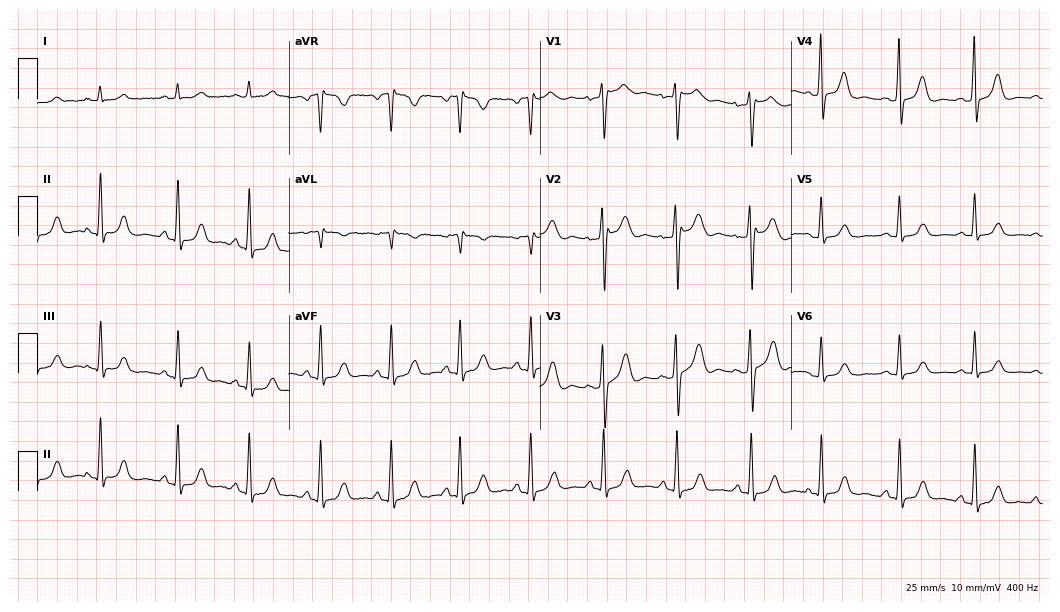
12-lead ECG from a female, 71 years old. Screened for six findings — first-degree AV block, right bundle branch block, left bundle branch block, sinus bradycardia, atrial fibrillation, sinus tachycardia — none is recorded. Findings outside these six are not listed.